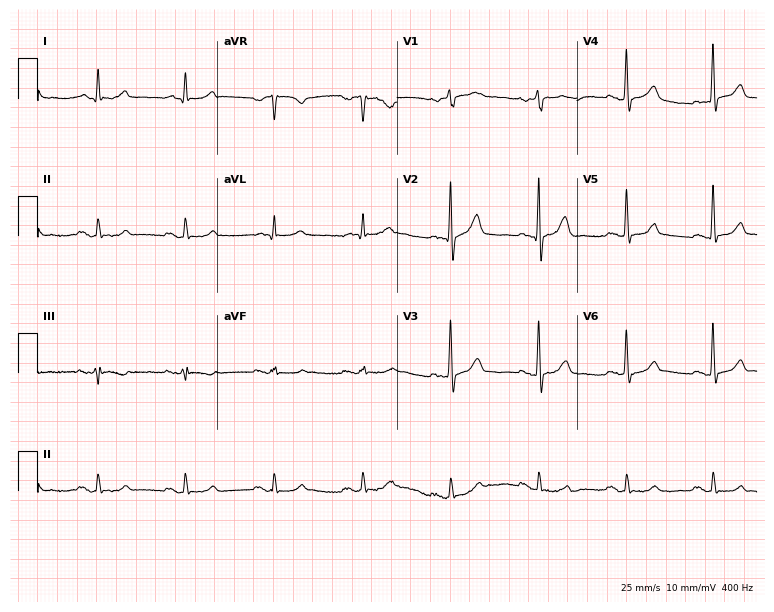
12-lead ECG from a male patient, 62 years old (7.3-second recording at 400 Hz). Recorded interpretation: within normal limits.